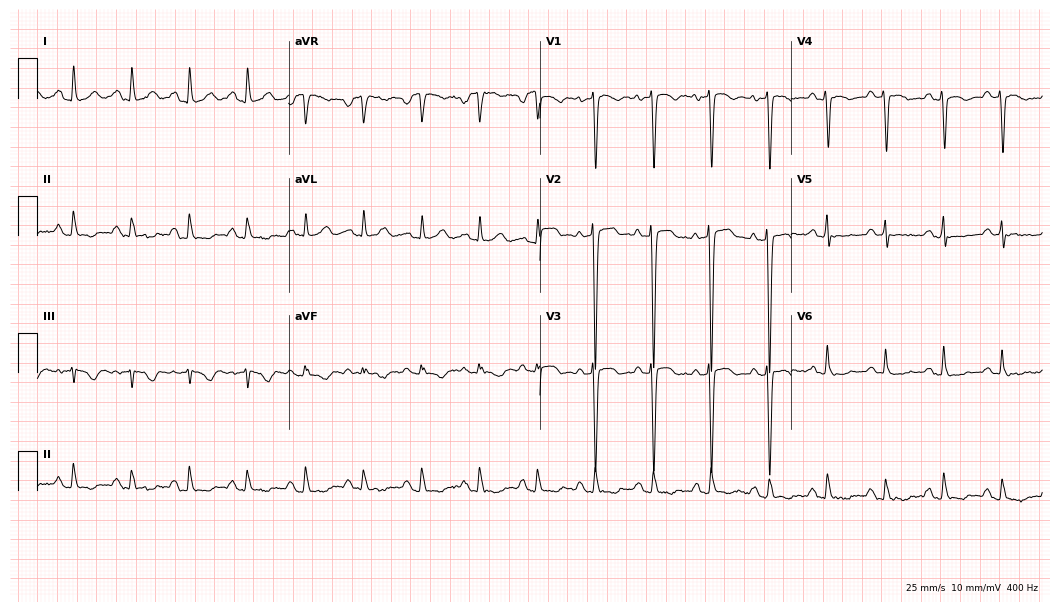
Resting 12-lead electrocardiogram. Patient: a woman, 77 years old. None of these six findings is recorded: first-degree AV block, right bundle branch block, left bundle branch block, sinus bradycardia, atrial fibrillation, sinus tachycardia. Findings outside these six are not listed.